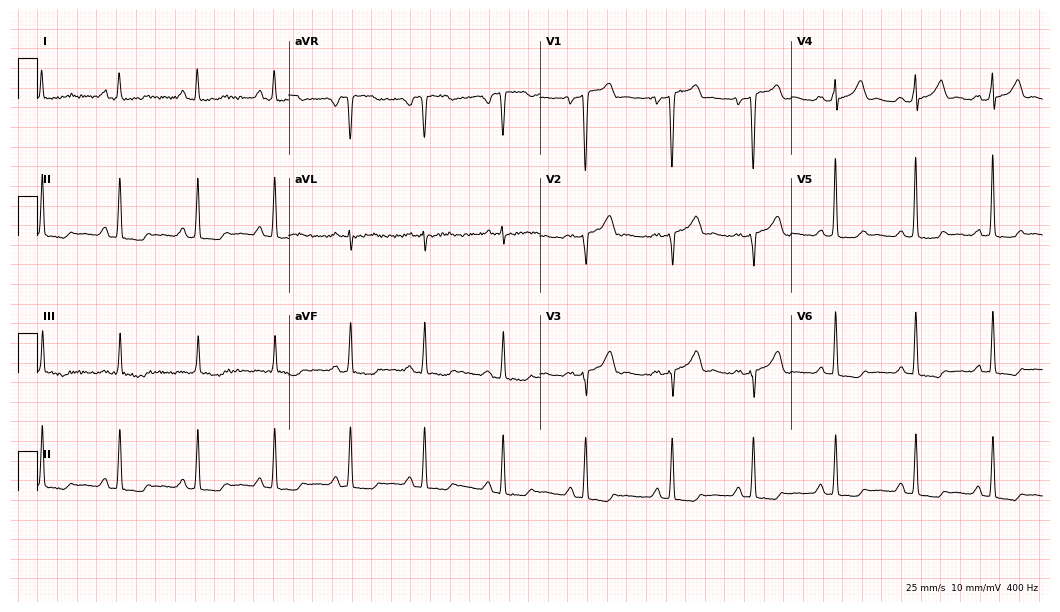
12-lead ECG from a 45-year-old woman (10.2-second recording at 400 Hz). No first-degree AV block, right bundle branch block (RBBB), left bundle branch block (LBBB), sinus bradycardia, atrial fibrillation (AF) or sinus tachycardia recorded for this tracing. Other findings, if any, are not listed.